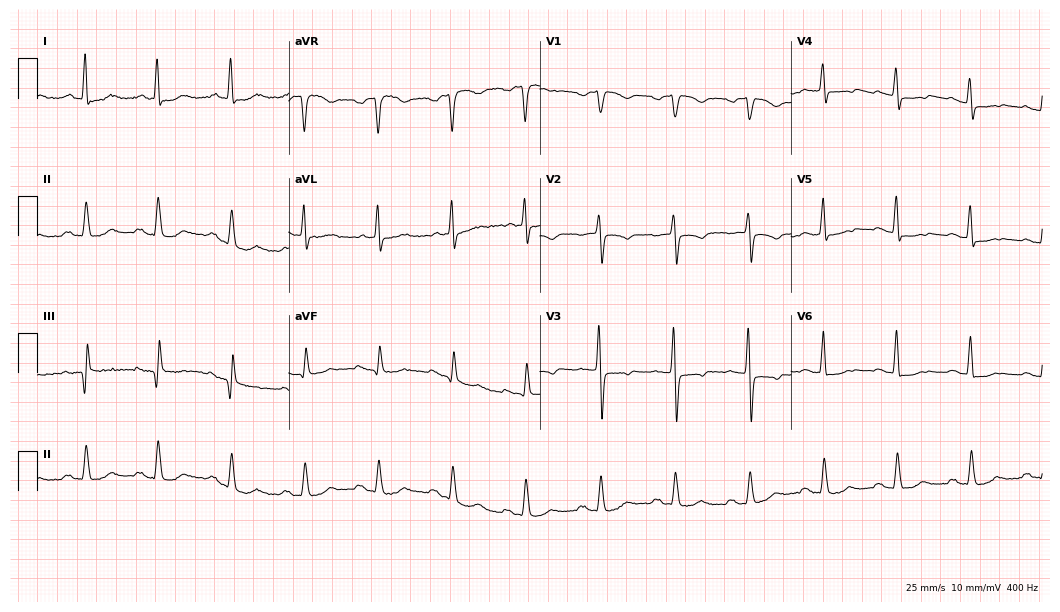
12-lead ECG from a female, 79 years old (10.2-second recording at 400 Hz). No first-degree AV block, right bundle branch block, left bundle branch block, sinus bradycardia, atrial fibrillation or sinus tachycardia recorded for this tracing. Findings outside these six are not listed.